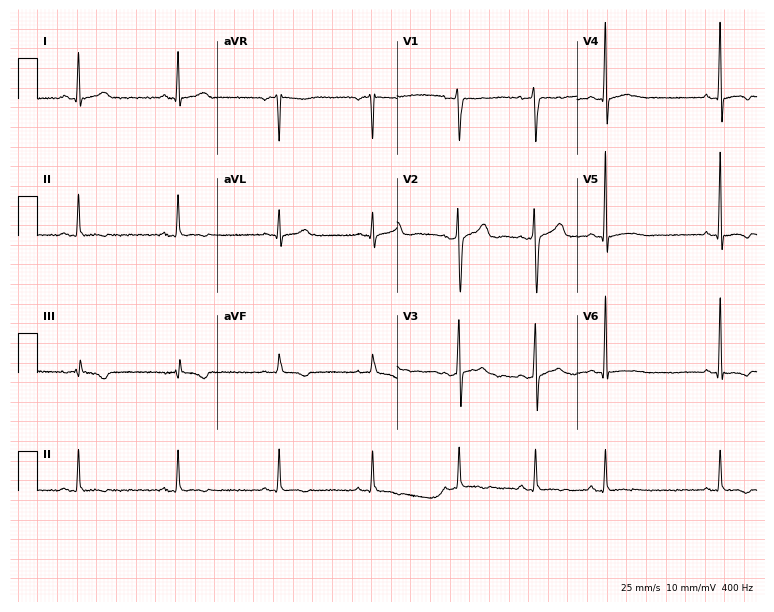
ECG — a 33-year-old male. Screened for six findings — first-degree AV block, right bundle branch block, left bundle branch block, sinus bradycardia, atrial fibrillation, sinus tachycardia — none is recorded.